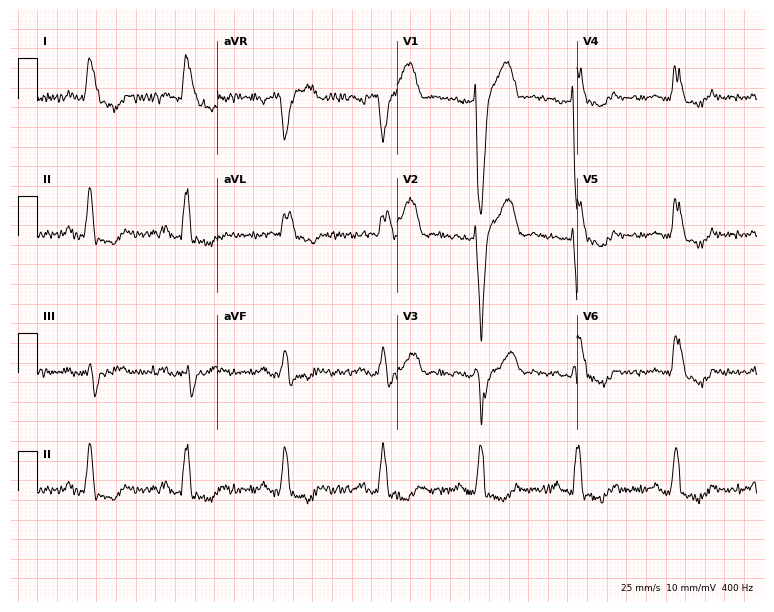
Electrocardiogram, a female patient, 80 years old. Interpretation includes left bundle branch block.